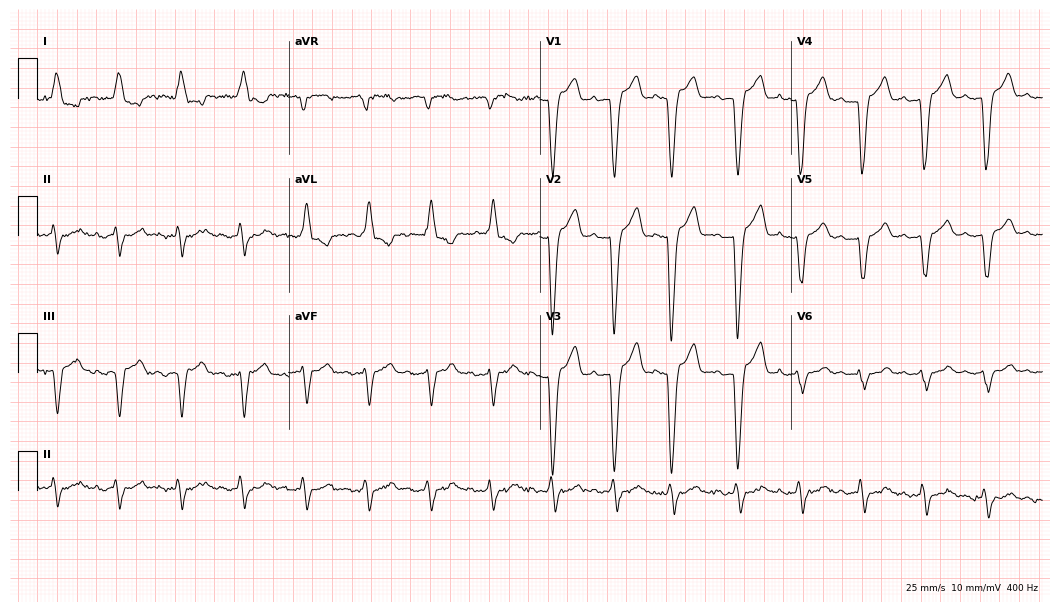
ECG (10.2-second recording at 400 Hz) — an 85-year-old woman. Findings include left bundle branch block.